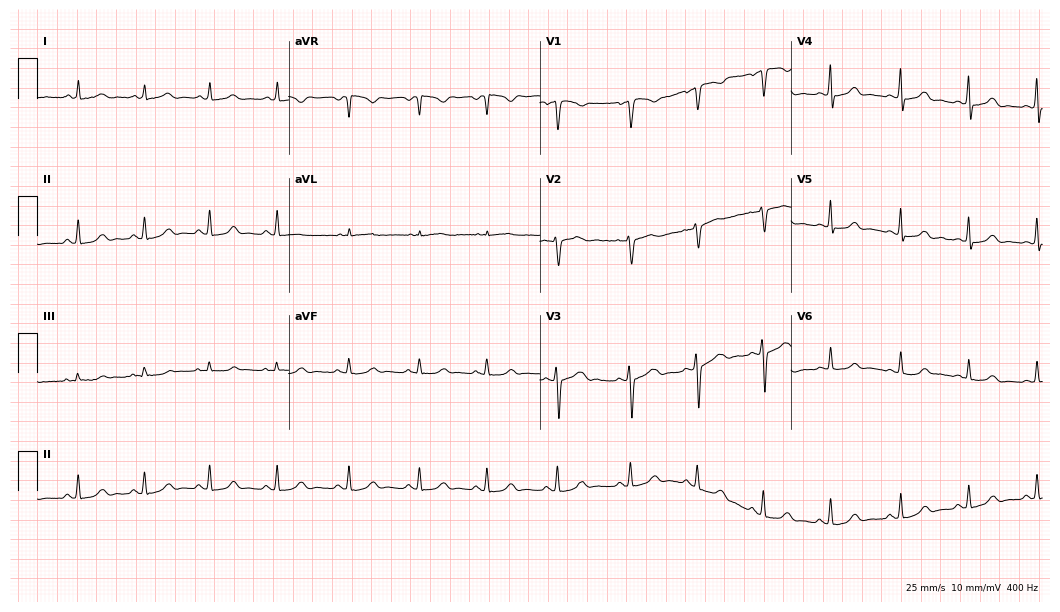
12-lead ECG from a 28-year-old female. Labelled as a normal ECG.